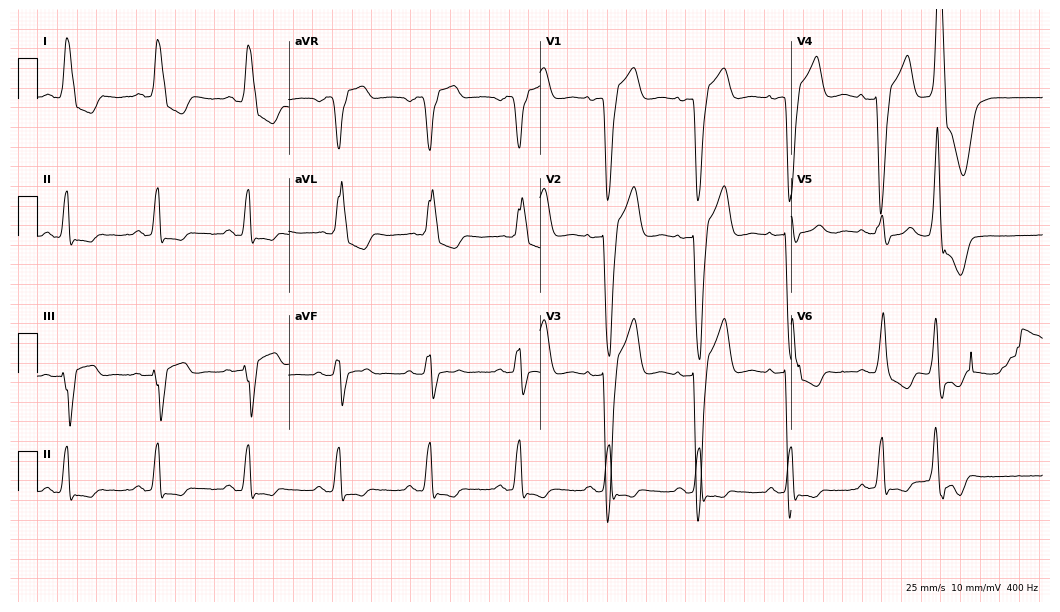
12-lead ECG from a 71-year-old female patient. Shows left bundle branch block.